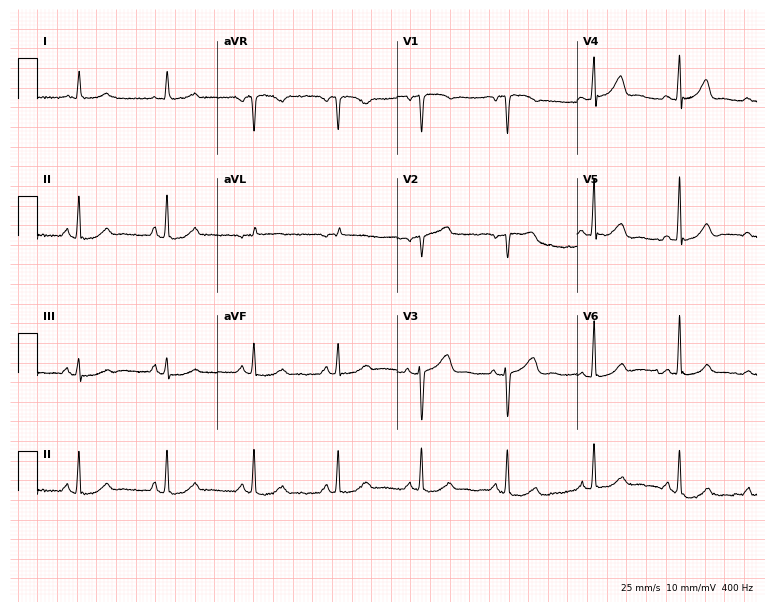
12-lead ECG (7.3-second recording at 400 Hz) from a female, 49 years old. Labelled as a normal ECG.